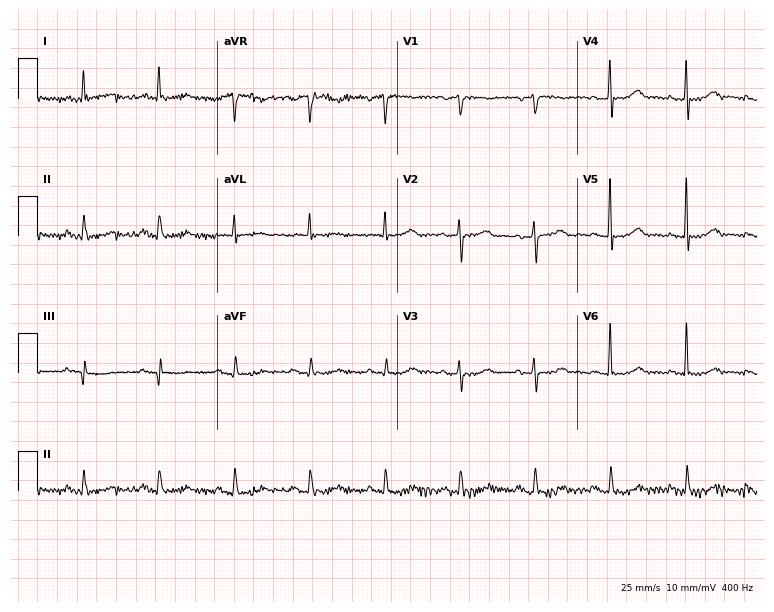
Resting 12-lead electrocardiogram. Patient: a female, 76 years old. Read as a normal ECG.